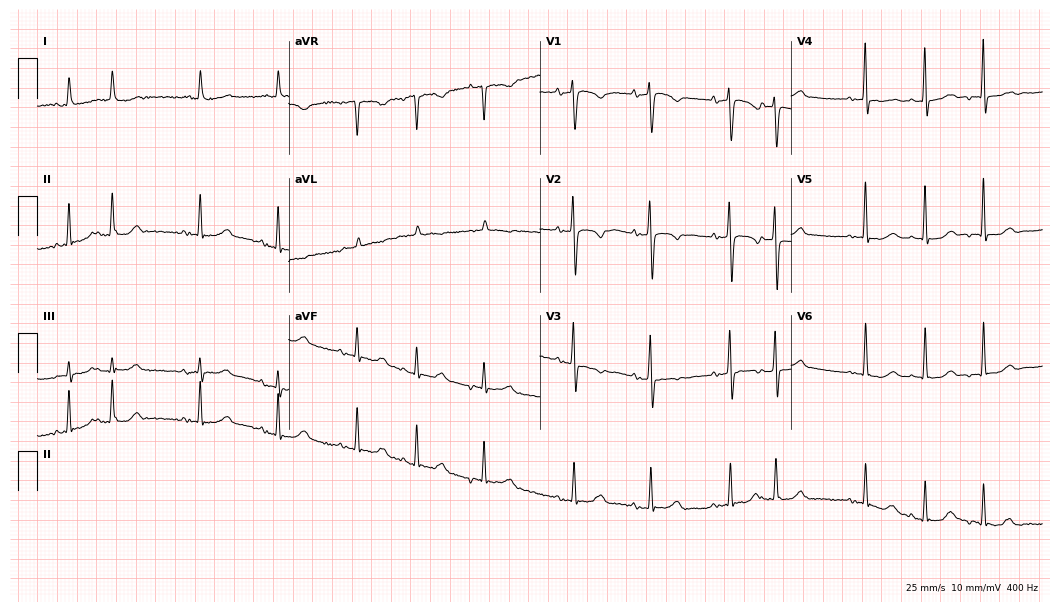
Electrocardiogram (10.2-second recording at 400 Hz), a female, 82 years old. Overall reading on record: normal ECG.